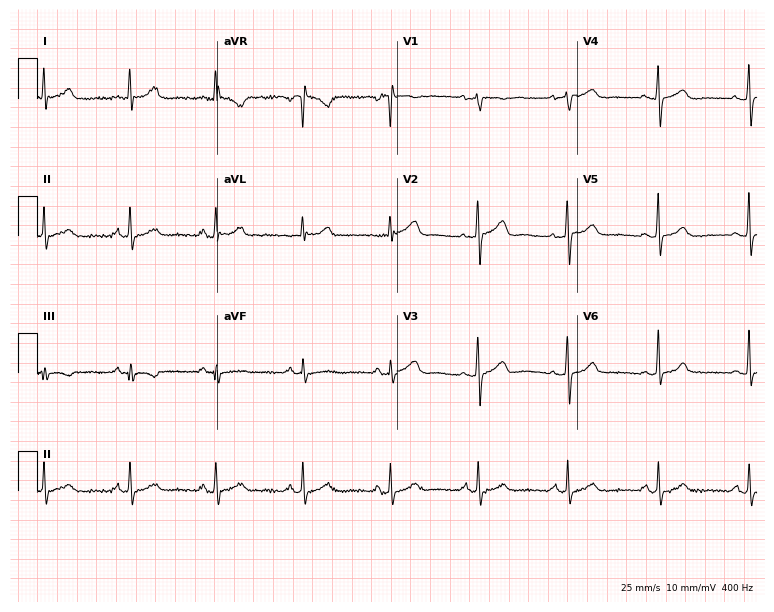
Electrocardiogram (7.3-second recording at 400 Hz), a 51-year-old female. Of the six screened findings (first-degree AV block, right bundle branch block (RBBB), left bundle branch block (LBBB), sinus bradycardia, atrial fibrillation (AF), sinus tachycardia), none is recorded. Other findings, if any, are not listed.